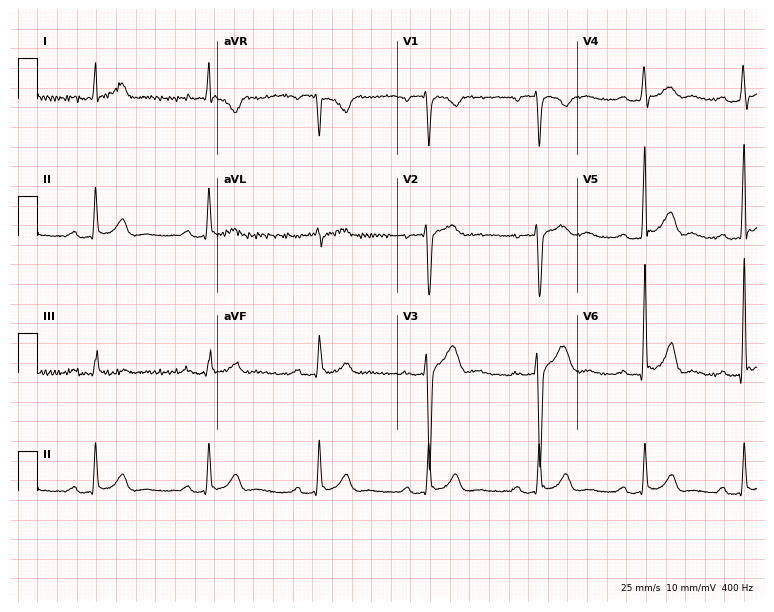
Standard 12-lead ECG recorded from a 41-year-old man (7.3-second recording at 400 Hz). None of these six findings is recorded: first-degree AV block, right bundle branch block (RBBB), left bundle branch block (LBBB), sinus bradycardia, atrial fibrillation (AF), sinus tachycardia.